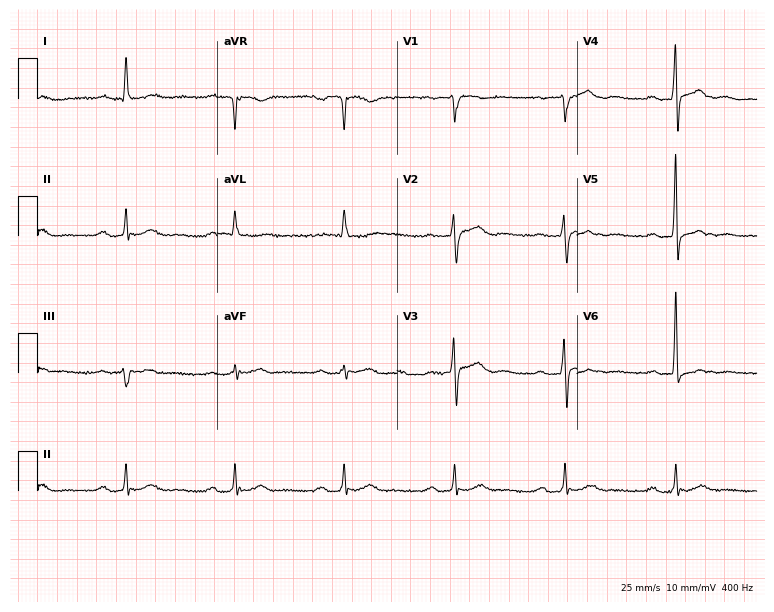
Electrocardiogram, an 82-year-old man. Interpretation includes first-degree AV block.